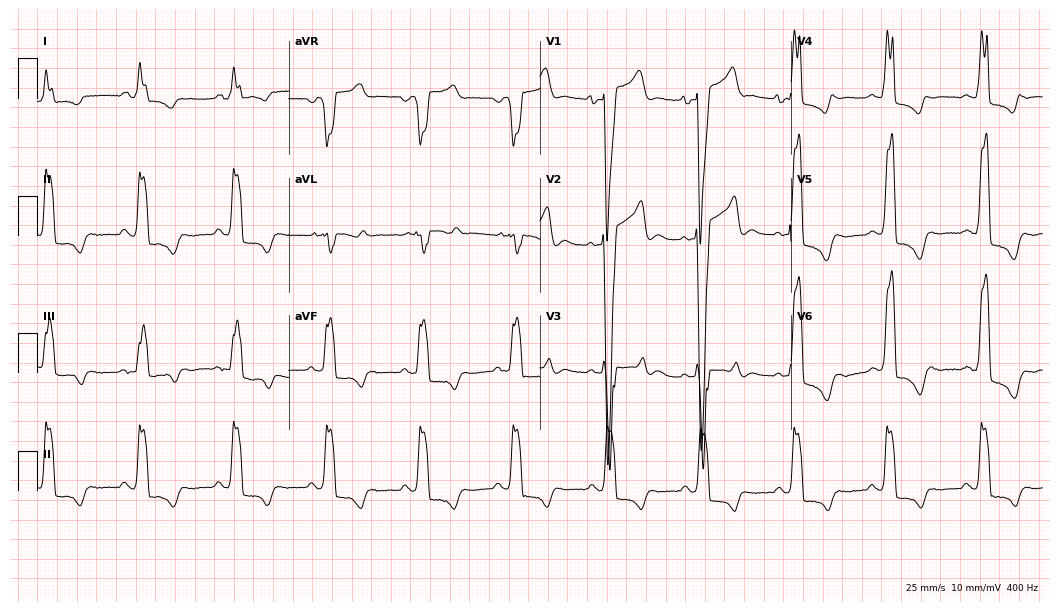
12-lead ECG from a 60-year-old man. Findings include left bundle branch block (LBBB).